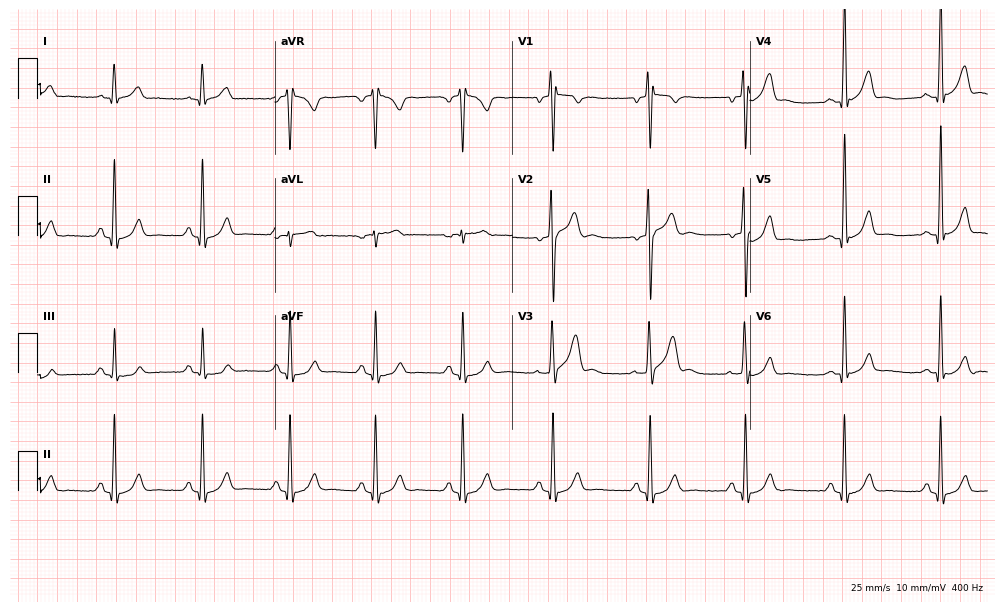
Standard 12-lead ECG recorded from a male patient, 35 years old (9.7-second recording at 400 Hz). Read as a normal ECG.